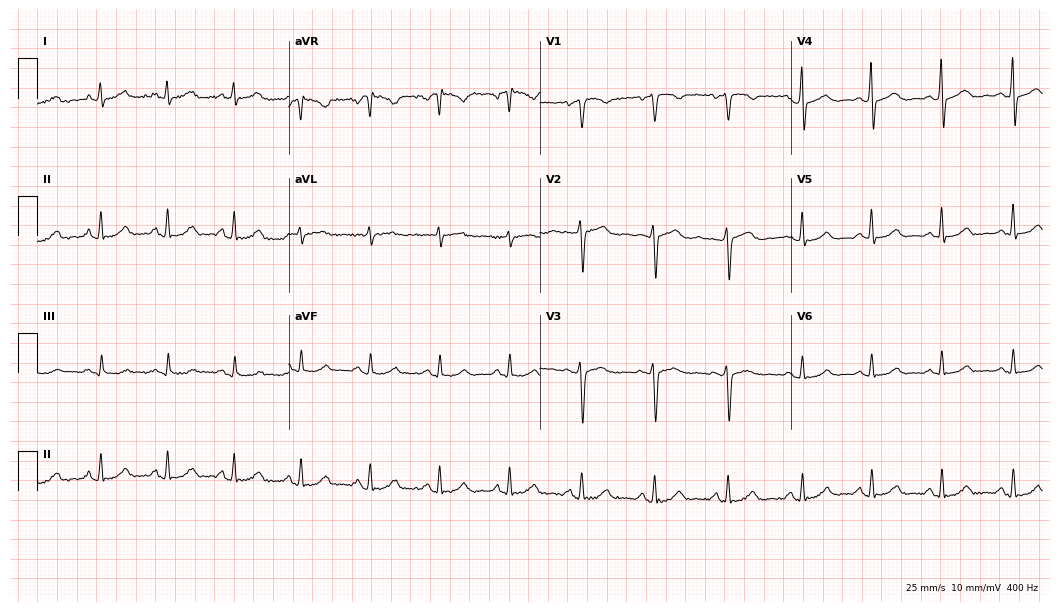
Standard 12-lead ECG recorded from a 59-year-old woman. Read as a normal ECG.